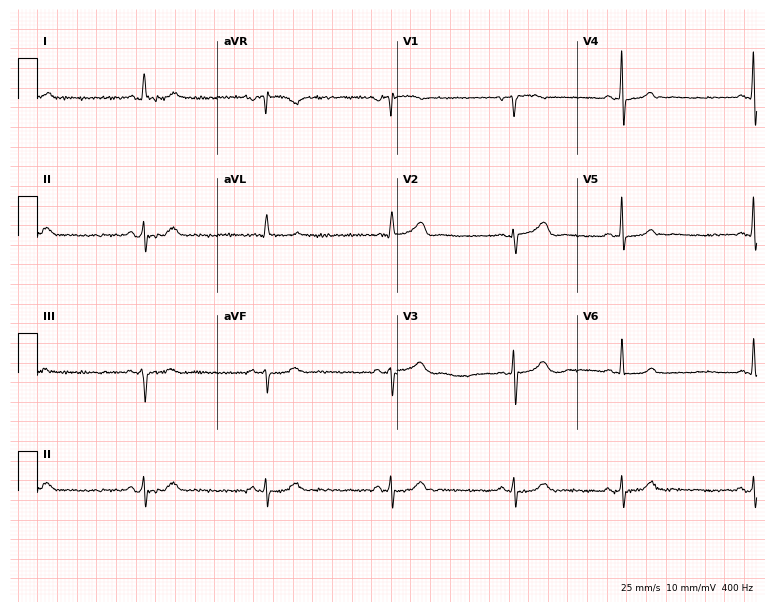
12-lead ECG from an 82-year-old male. Findings include sinus bradycardia (a sinus rate of 50 beats per minute or less).